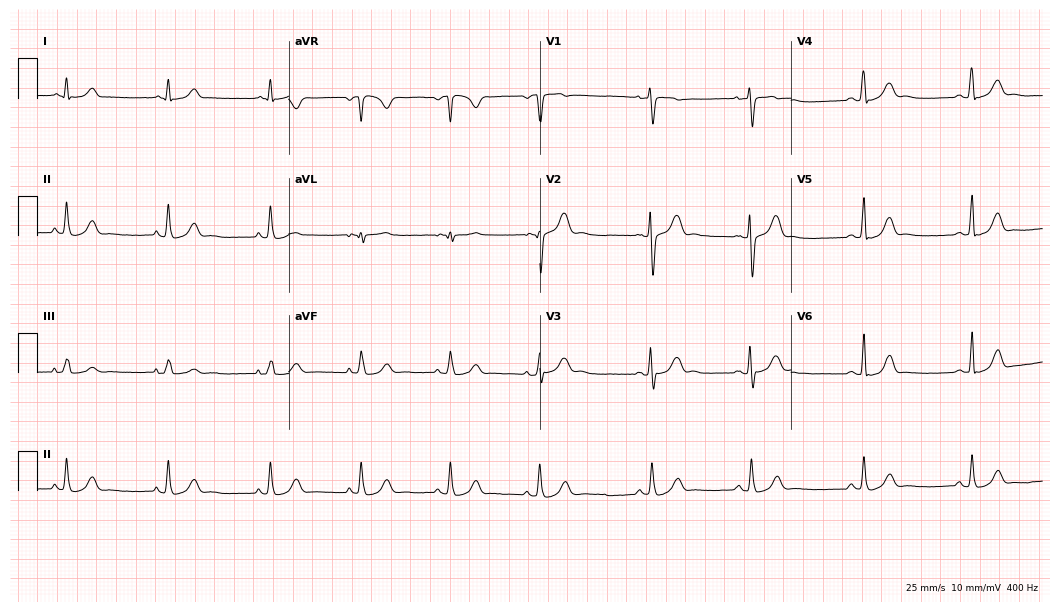
12-lead ECG (10.2-second recording at 400 Hz) from a 17-year-old woman. Labelled as a normal ECG.